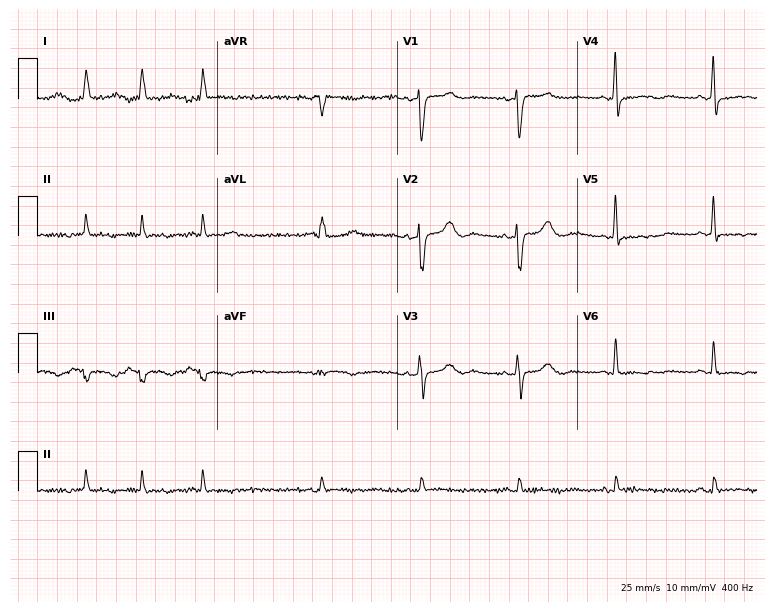
Standard 12-lead ECG recorded from an 80-year-old woman. None of these six findings is recorded: first-degree AV block, right bundle branch block (RBBB), left bundle branch block (LBBB), sinus bradycardia, atrial fibrillation (AF), sinus tachycardia. Other findings, if any, are not listed.